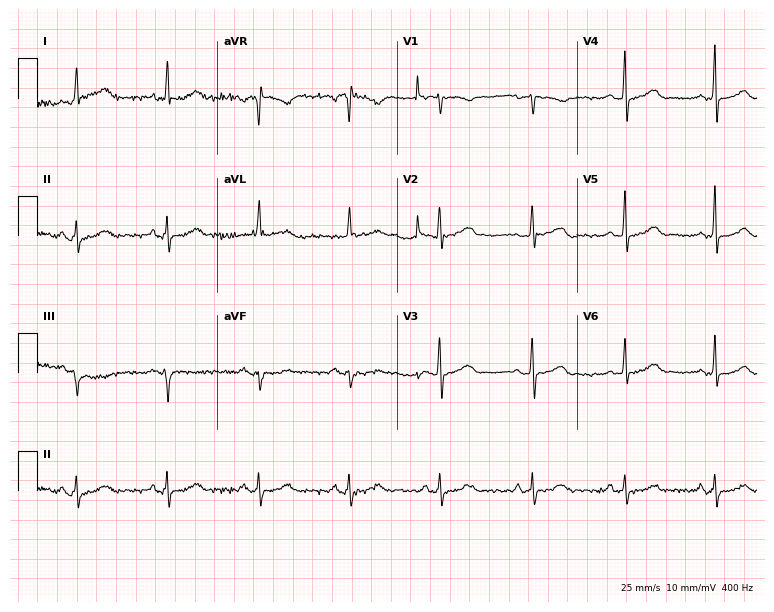
Resting 12-lead electrocardiogram. Patient: a female, 62 years old. Read as a normal ECG.